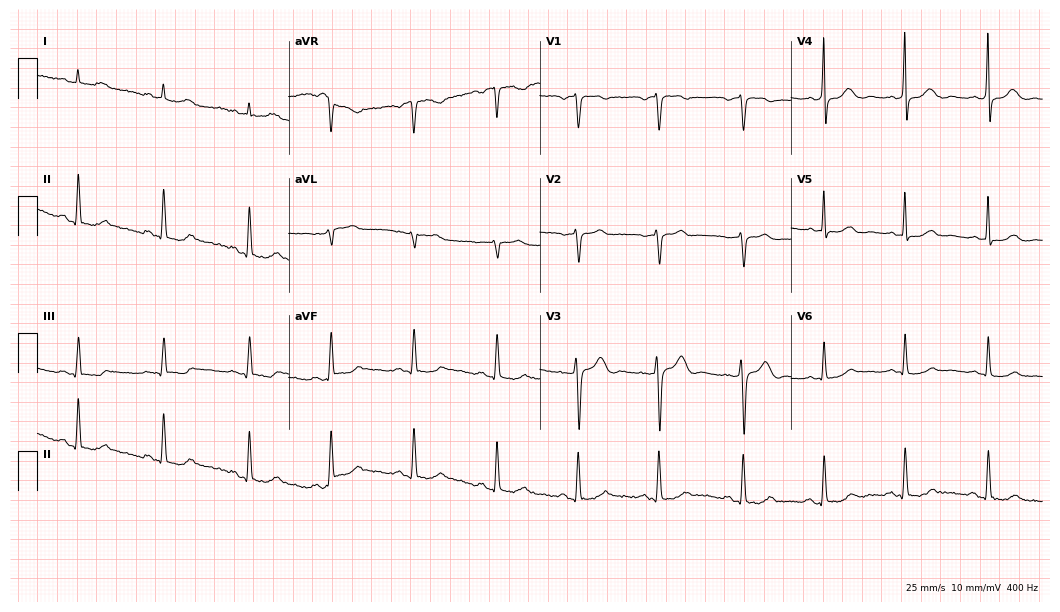
Resting 12-lead electrocardiogram. Patient: a 46-year-old female. Read as a normal ECG.